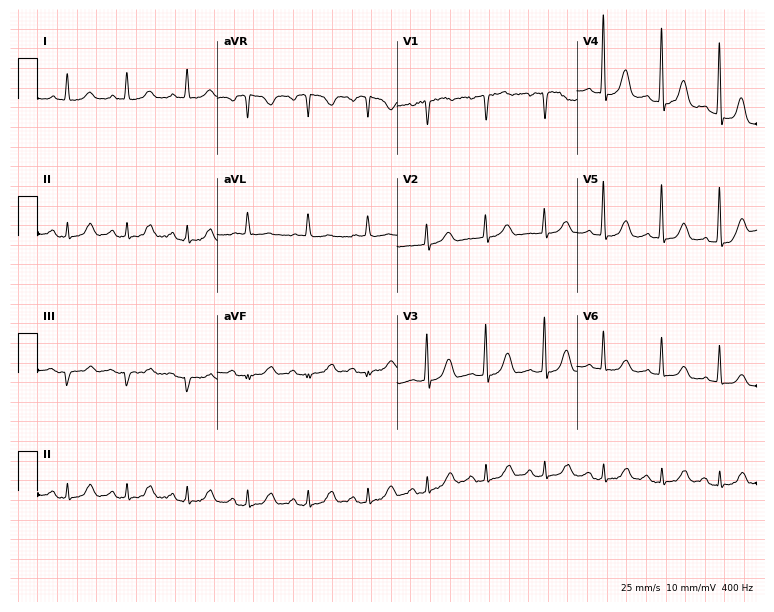
12-lead ECG (7.3-second recording at 400 Hz) from a woman, 70 years old. Screened for six findings — first-degree AV block, right bundle branch block, left bundle branch block, sinus bradycardia, atrial fibrillation, sinus tachycardia — none is recorded. Only these six findings were labelled.